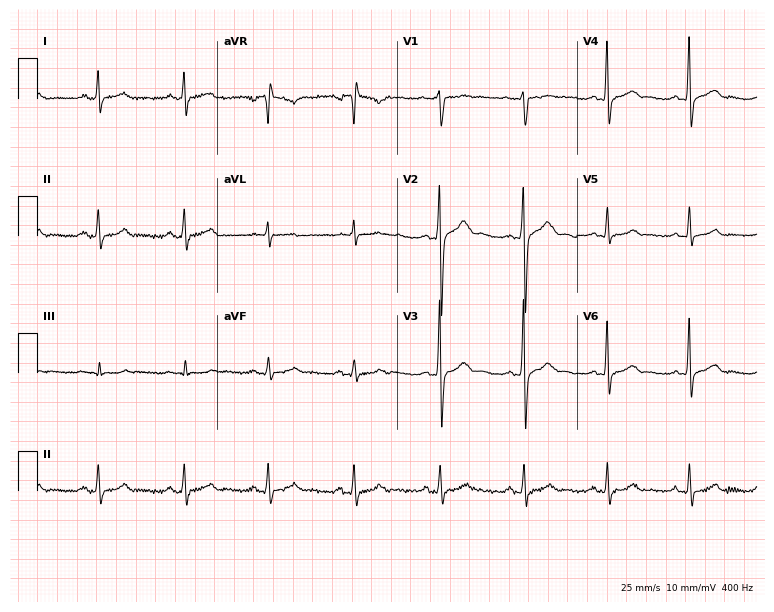
12-lead ECG (7.3-second recording at 400 Hz) from a 34-year-old man. Labelled as a normal ECG.